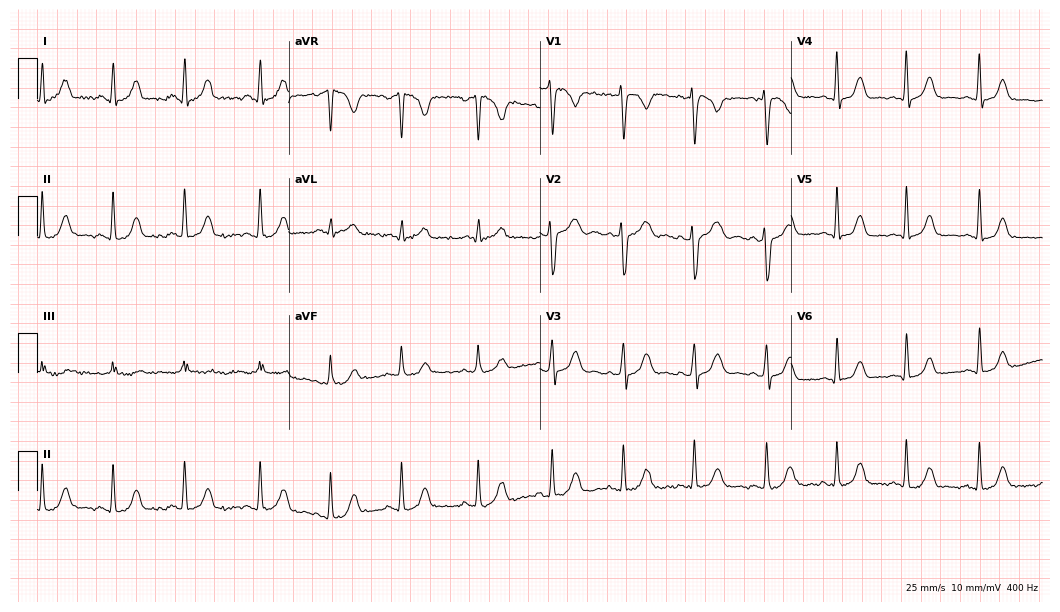
ECG — a female, 38 years old. Labelled as a normal ECG.